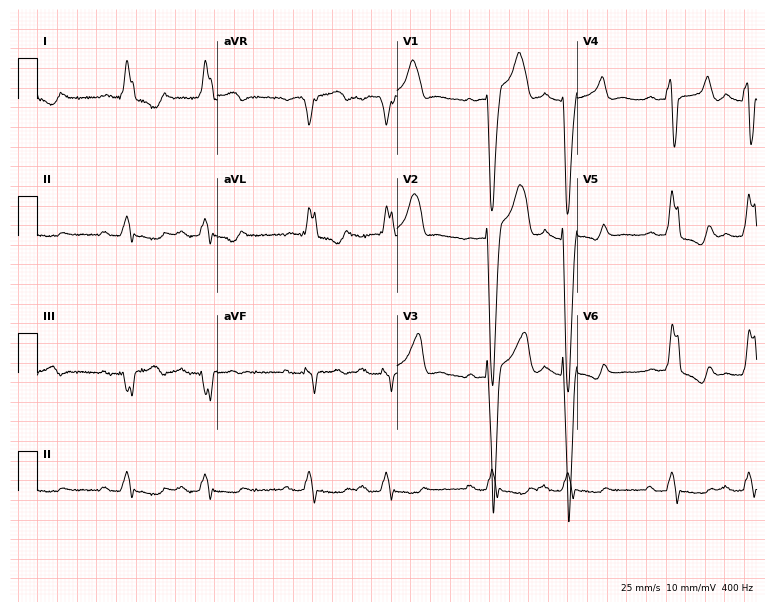
12-lead ECG from a 68-year-old male (7.3-second recording at 400 Hz). Shows left bundle branch block.